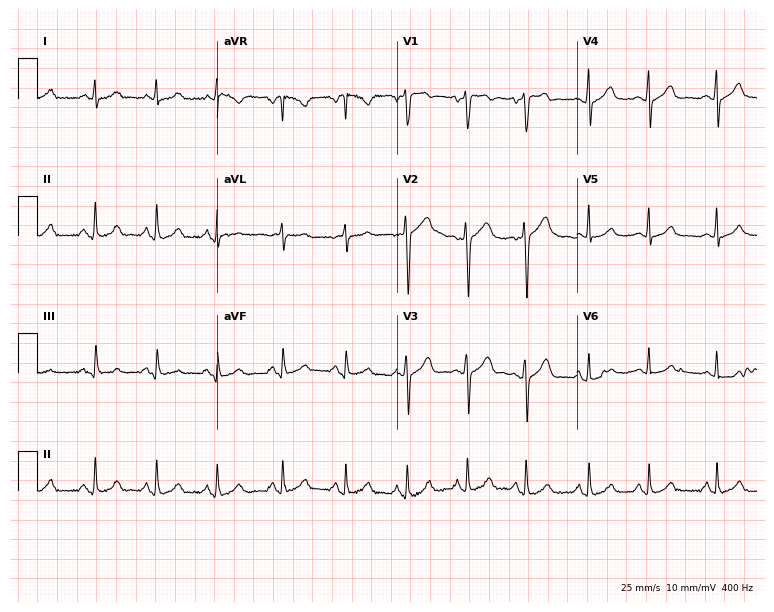
Resting 12-lead electrocardiogram (7.3-second recording at 400 Hz). Patient: a male, 43 years old. Read as a normal ECG.